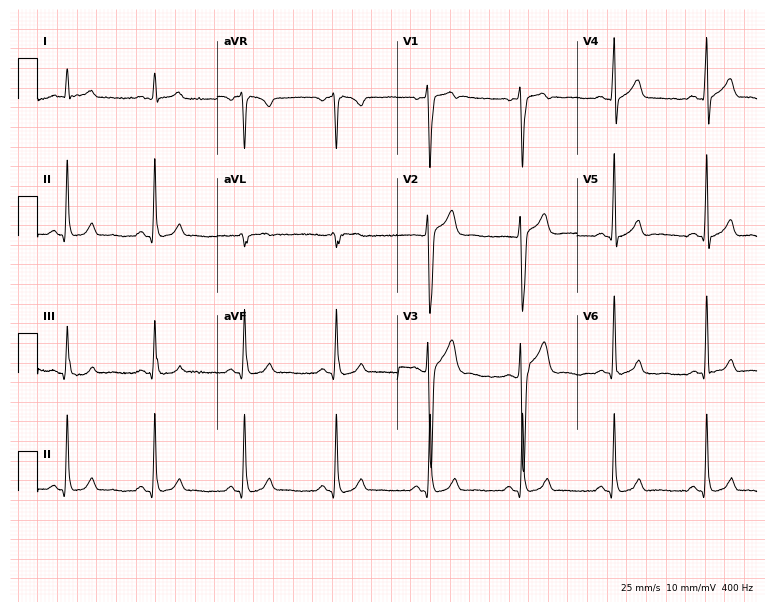
Electrocardiogram, a male, 32 years old. Of the six screened findings (first-degree AV block, right bundle branch block (RBBB), left bundle branch block (LBBB), sinus bradycardia, atrial fibrillation (AF), sinus tachycardia), none is recorded.